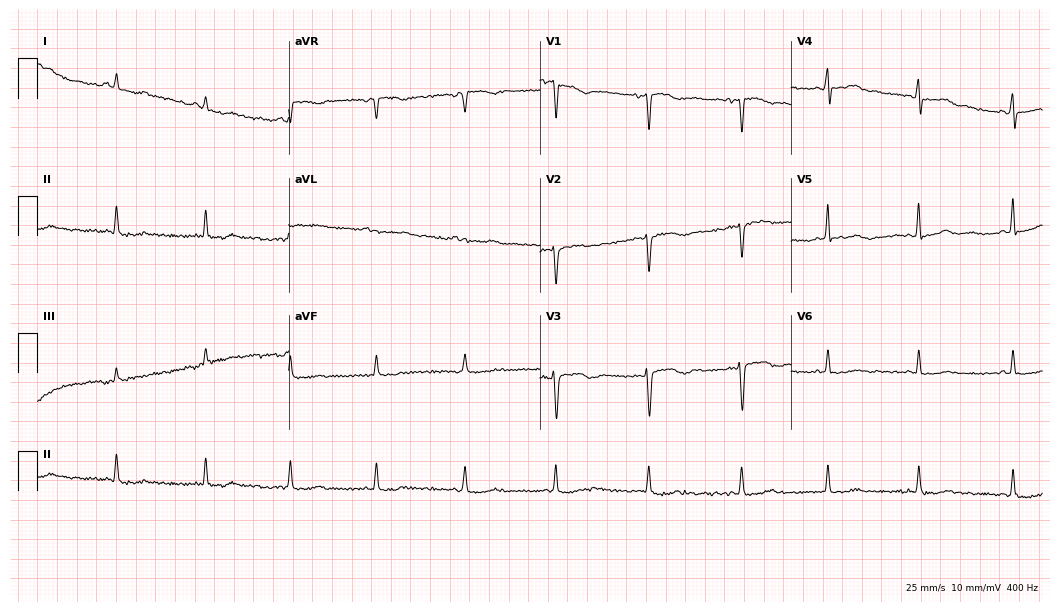
12-lead ECG from a man, 42 years old. No first-degree AV block, right bundle branch block, left bundle branch block, sinus bradycardia, atrial fibrillation or sinus tachycardia recorded for this tracing. Other findings, if any, are not listed.